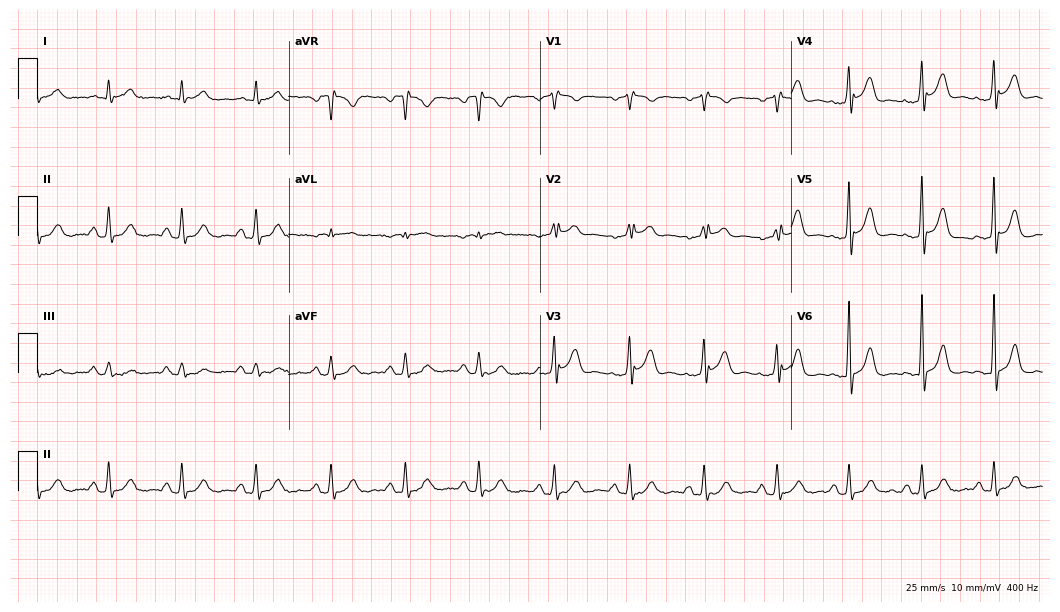
Resting 12-lead electrocardiogram (10.2-second recording at 400 Hz). Patient: a man, 62 years old. Read as a normal ECG.